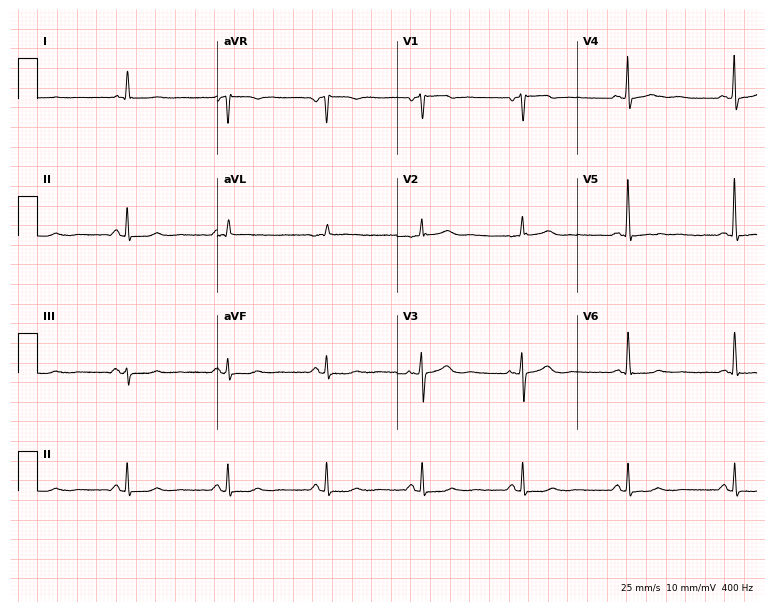
12-lead ECG from a female patient, 61 years old. Labelled as a normal ECG.